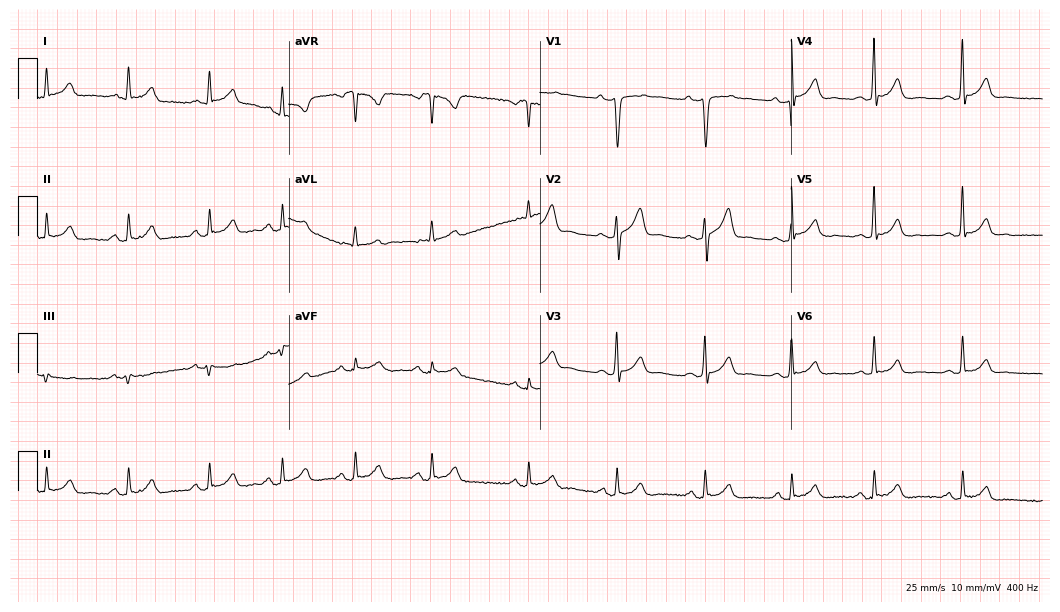
Electrocardiogram, a 45-year-old man. Of the six screened findings (first-degree AV block, right bundle branch block, left bundle branch block, sinus bradycardia, atrial fibrillation, sinus tachycardia), none is recorded. Only these six findings were labelled.